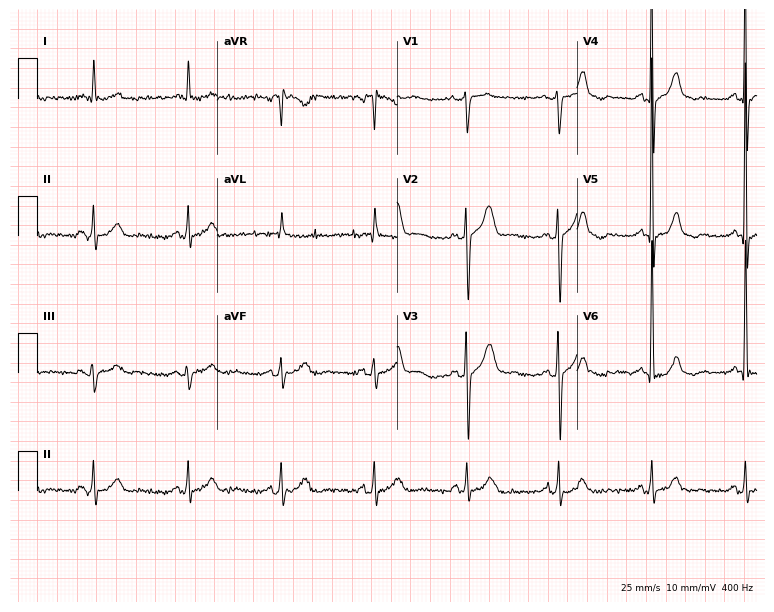
Resting 12-lead electrocardiogram (7.3-second recording at 400 Hz). Patient: a 62-year-old male. None of these six findings is recorded: first-degree AV block, right bundle branch block (RBBB), left bundle branch block (LBBB), sinus bradycardia, atrial fibrillation (AF), sinus tachycardia. Other findings, if any, are not listed.